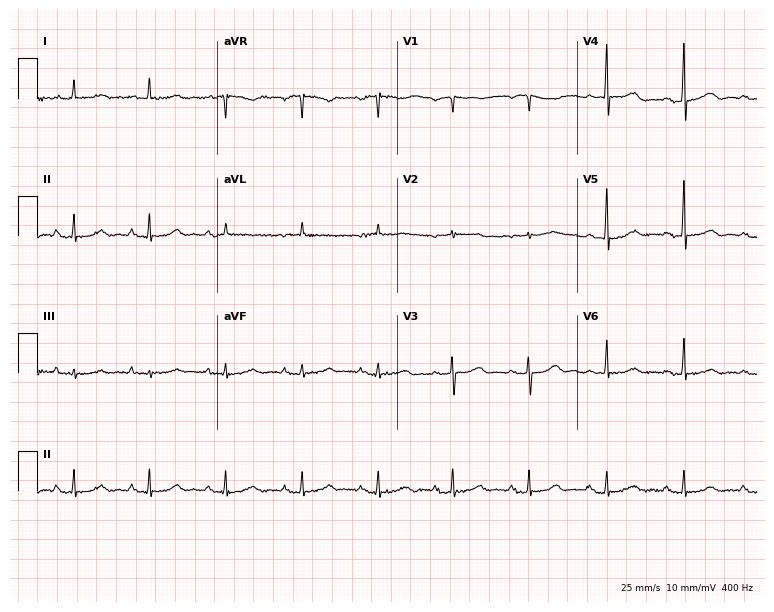
Electrocardiogram, a female, 81 years old. Of the six screened findings (first-degree AV block, right bundle branch block, left bundle branch block, sinus bradycardia, atrial fibrillation, sinus tachycardia), none is recorded. Findings outside these six are not listed.